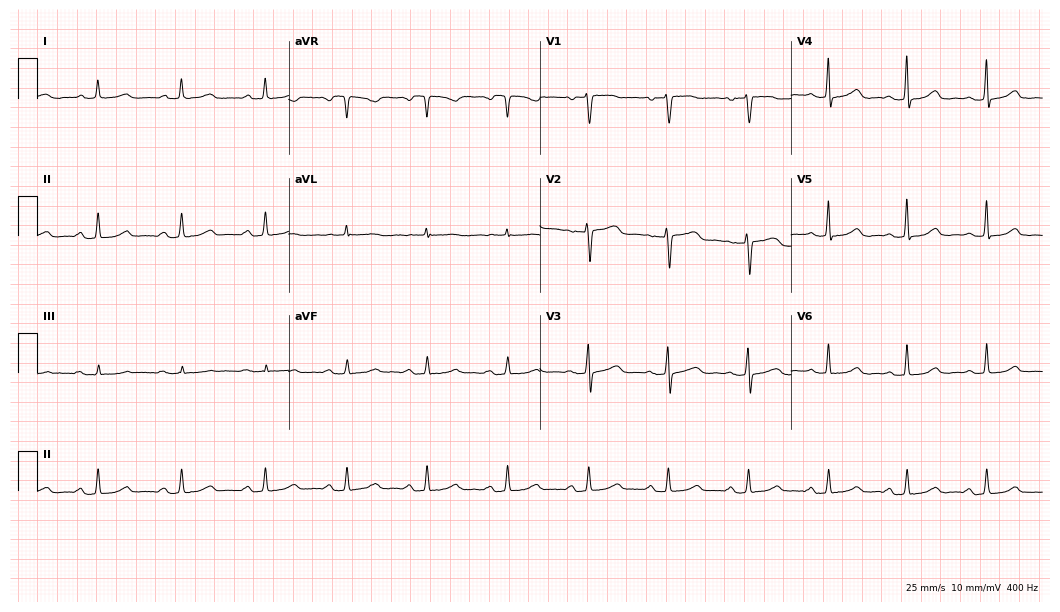
ECG — a 47-year-old female patient. Labelled as a normal ECG.